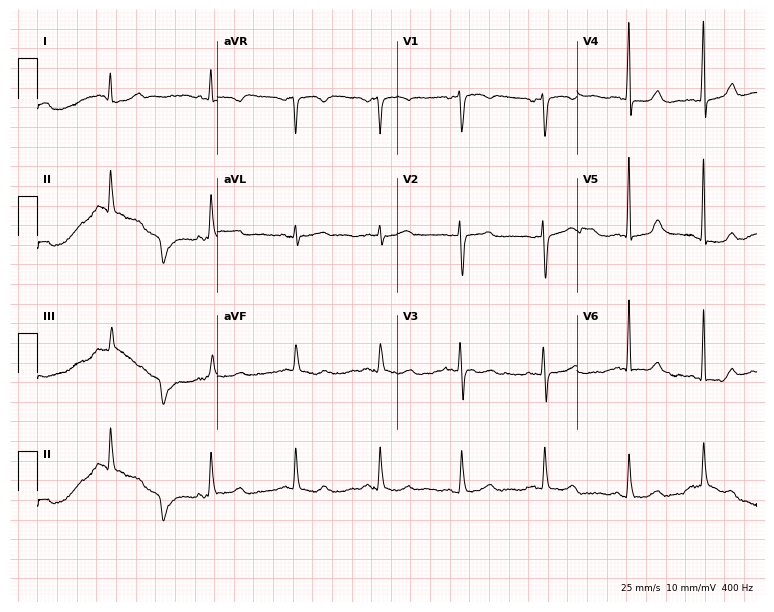
12-lead ECG from a female, 61 years old. Labelled as a normal ECG.